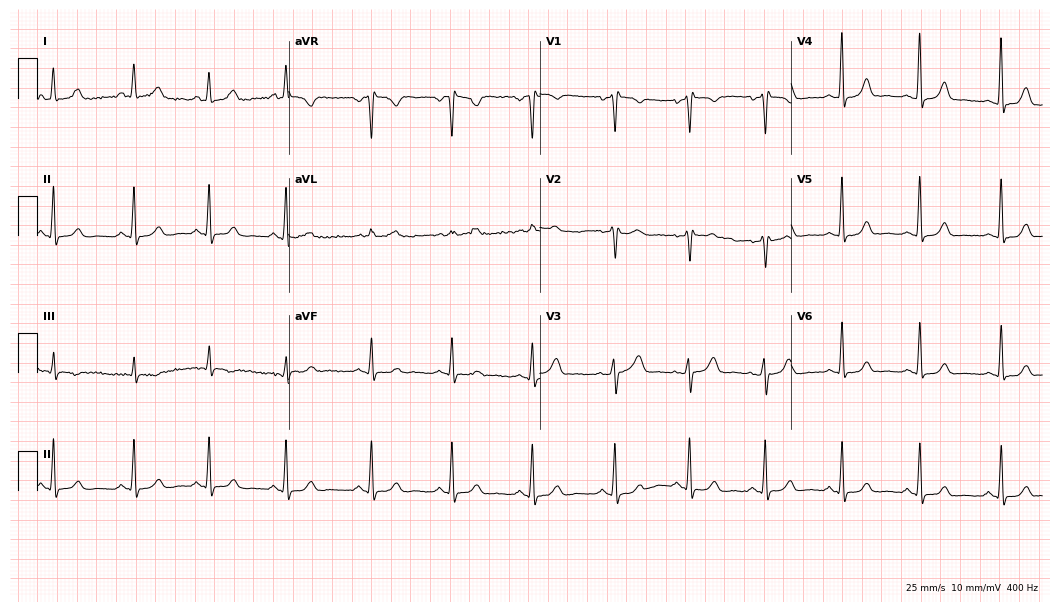
Electrocardiogram (10.2-second recording at 400 Hz), a 35-year-old female patient. Of the six screened findings (first-degree AV block, right bundle branch block (RBBB), left bundle branch block (LBBB), sinus bradycardia, atrial fibrillation (AF), sinus tachycardia), none is recorded. Other findings, if any, are not listed.